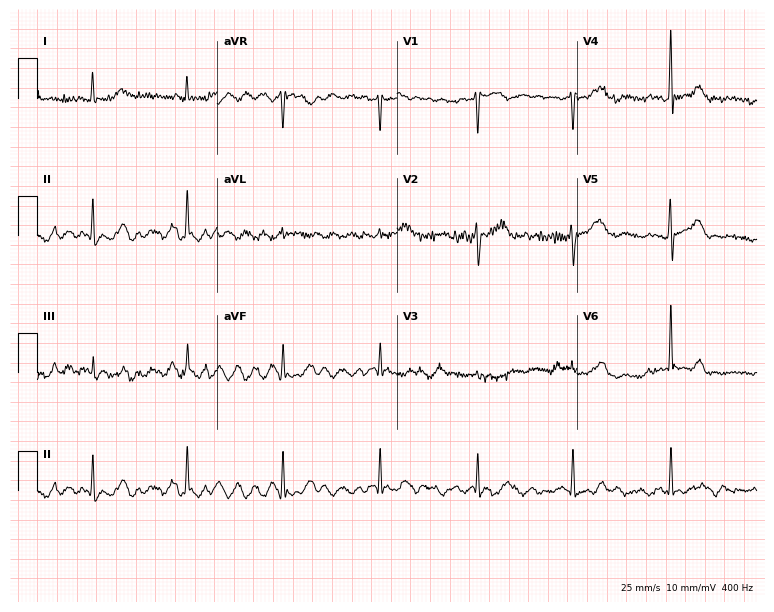
12-lead ECG from a 58-year-old man. No first-degree AV block, right bundle branch block, left bundle branch block, sinus bradycardia, atrial fibrillation or sinus tachycardia recorded for this tracing. Other findings, if any, are not listed.